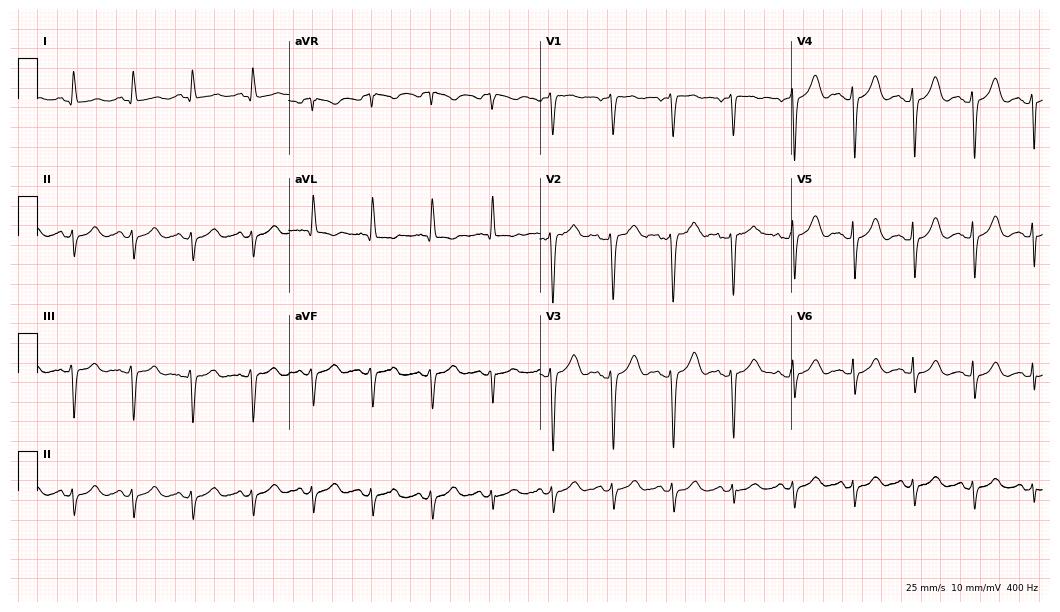
Resting 12-lead electrocardiogram. Patient: a 54-year-old woman. None of these six findings is recorded: first-degree AV block, right bundle branch block, left bundle branch block, sinus bradycardia, atrial fibrillation, sinus tachycardia.